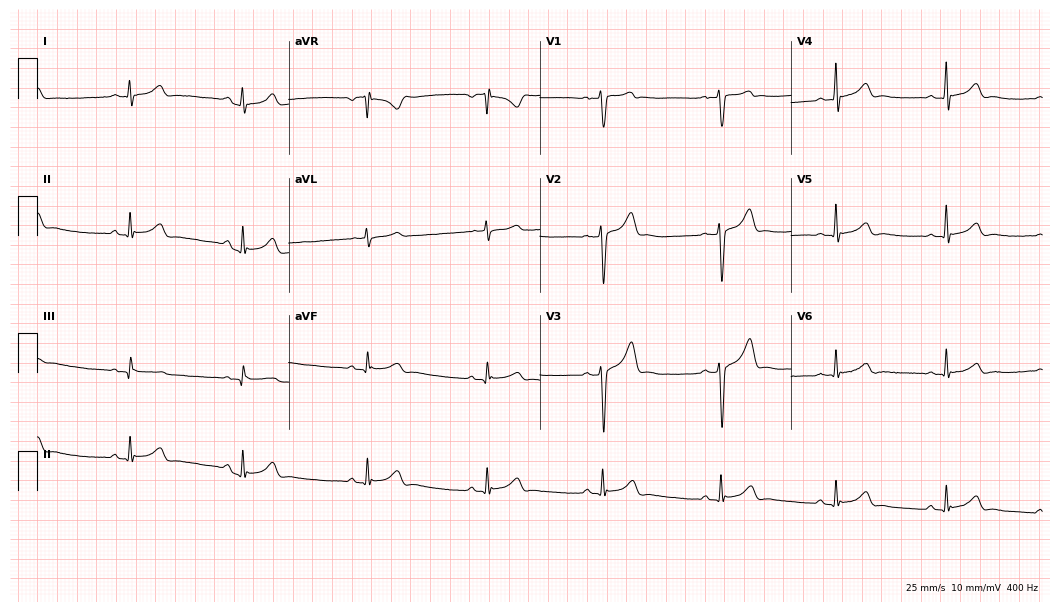
Standard 12-lead ECG recorded from a man, 20 years old. Read as a normal ECG.